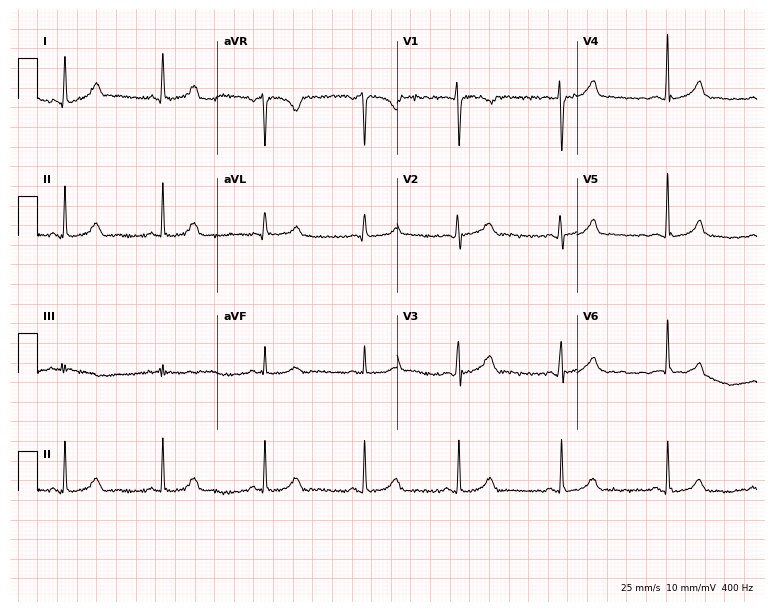
Resting 12-lead electrocardiogram (7.3-second recording at 400 Hz). Patient: a 40-year-old female. None of these six findings is recorded: first-degree AV block, right bundle branch block (RBBB), left bundle branch block (LBBB), sinus bradycardia, atrial fibrillation (AF), sinus tachycardia. Other findings, if any, are not listed.